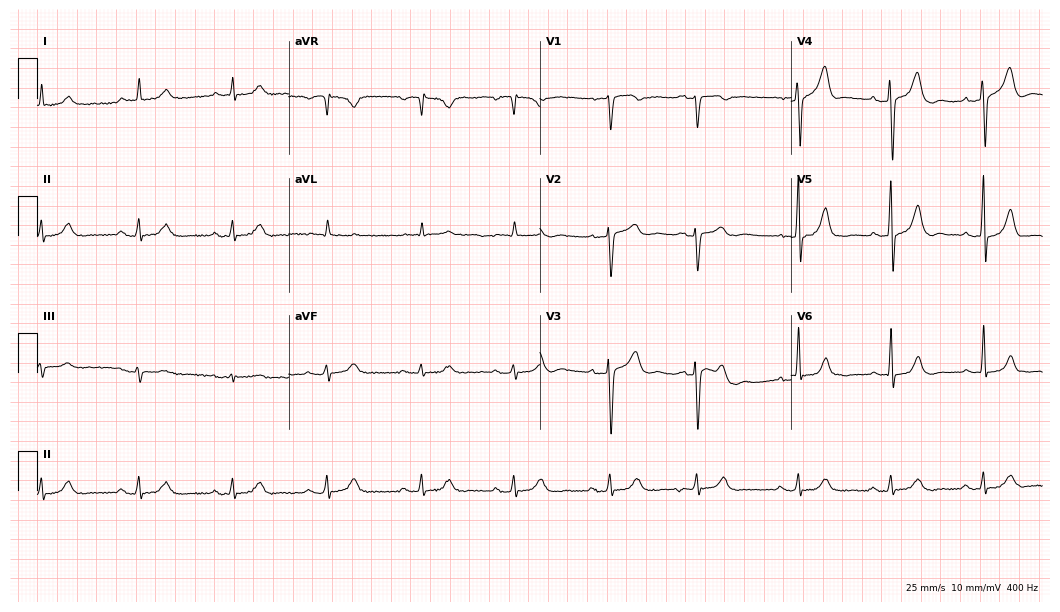
Standard 12-lead ECG recorded from an 80-year-old man (10.2-second recording at 400 Hz). Read as a normal ECG.